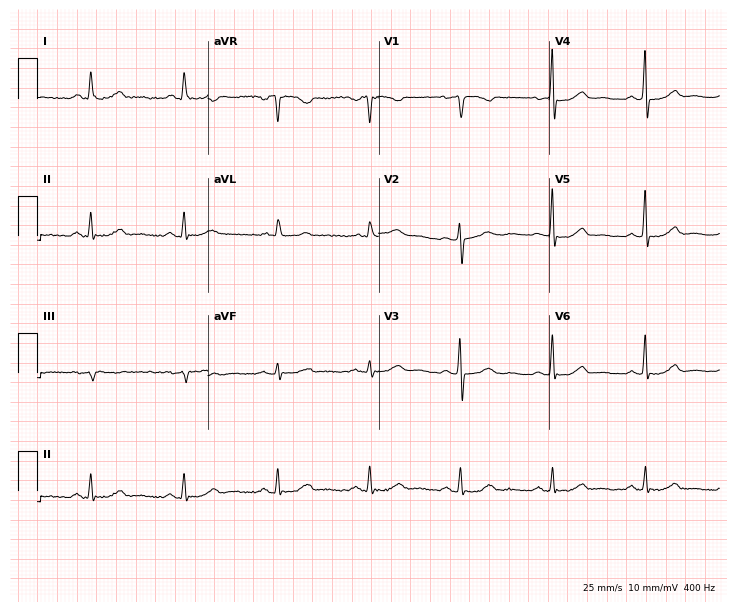
12-lead ECG from a female patient, 62 years old (7-second recording at 400 Hz). No first-degree AV block, right bundle branch block (RBBB), left bundle branch block (LBBB), sinus bradycardia, atrial fibrillation (AF) or sinus tachycardia recorded for this tracing.